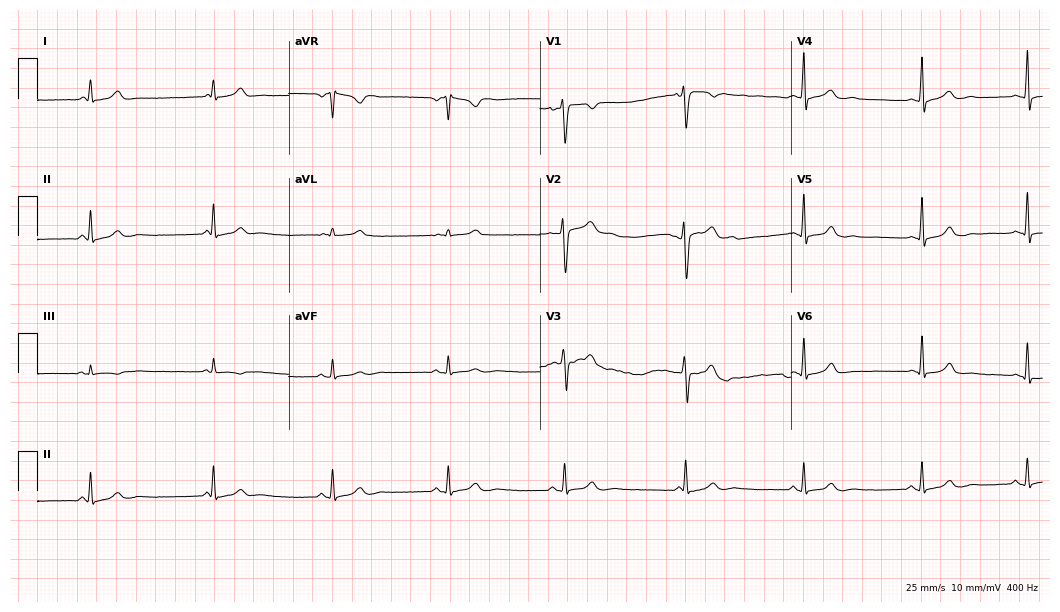
ECG — a 34-year-old female patient. Screened for six findings — first-degree AV block, right bundle branch block, left bundle branch block, sinus bradycardia, atrial fibrillation, sinus tachycardia — none is recorded. Other findings, if any, are not listed.